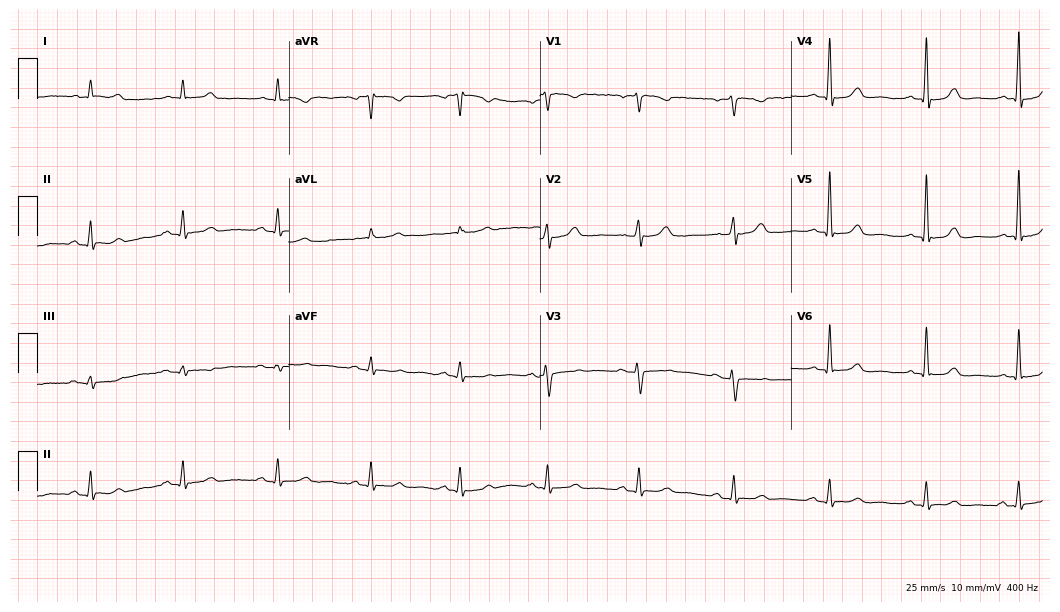
Resting 12-lead electrocardiogram (10.2-second recording at 400 Hz). Patient: a female, 53 years old. Read as a normal ECG.